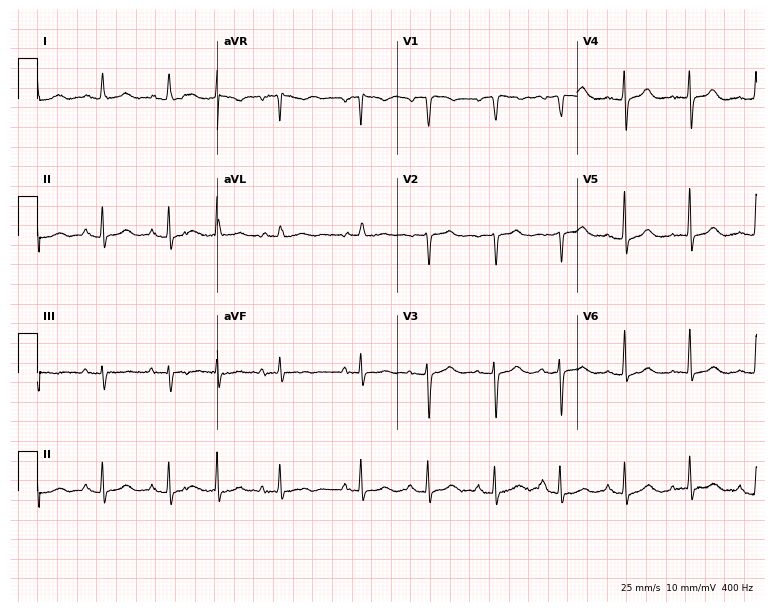
Electrocardiogram (7.3-second recording at 400 Hz), an 85-year-old woman. Overall reading on record: normal ECG.